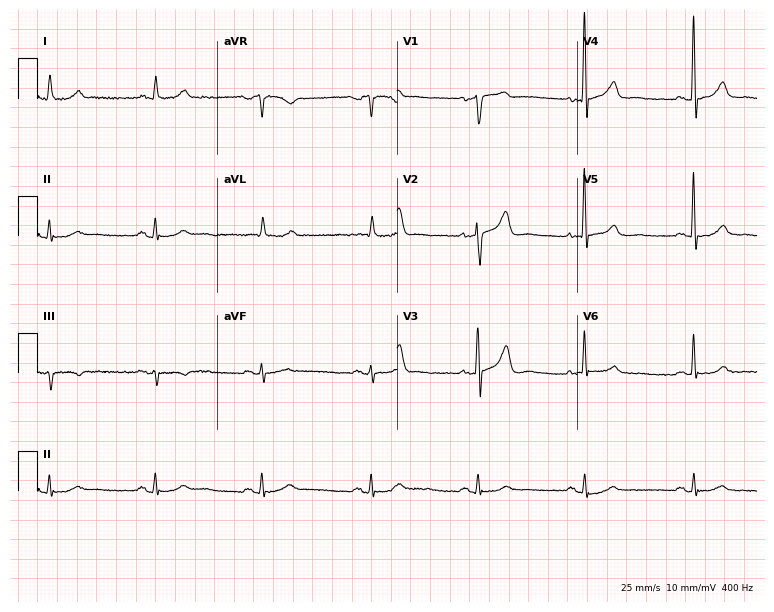
12-lead ECG from a man, 79 years old. No first-degree AV block, right bundle branch block (RBBB), left bundle branch block (LBBB), sinus bradycardia, atrial fibrillation (AF) or sinus tachycardia recorded for this tracing.